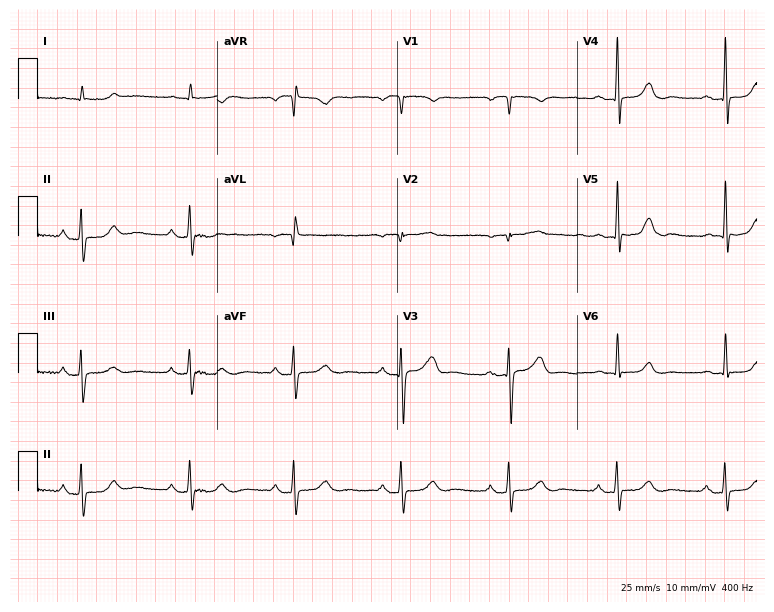
ECG (7.3-second recording at 400 Hz) — an 82-year-old man. Labelled as a normal ECG.